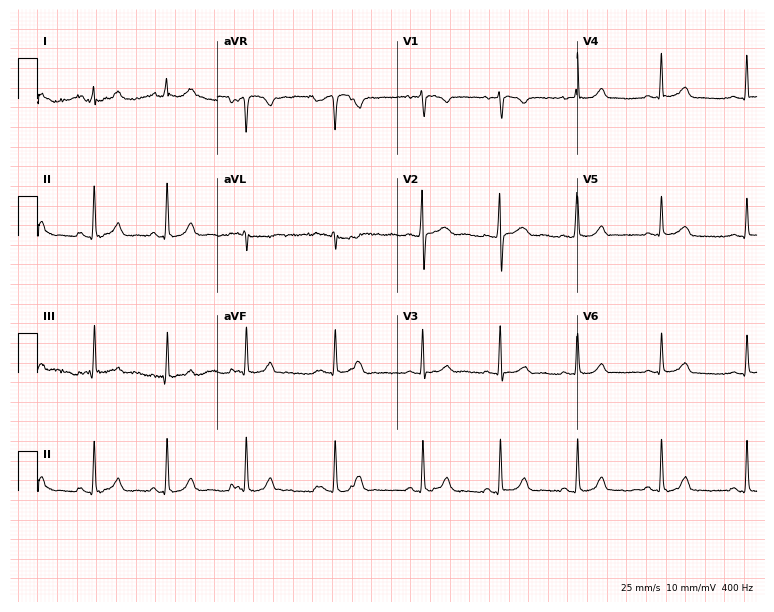
12-lead ECG from a female, 26 years old. Labelled as a normal ECG.